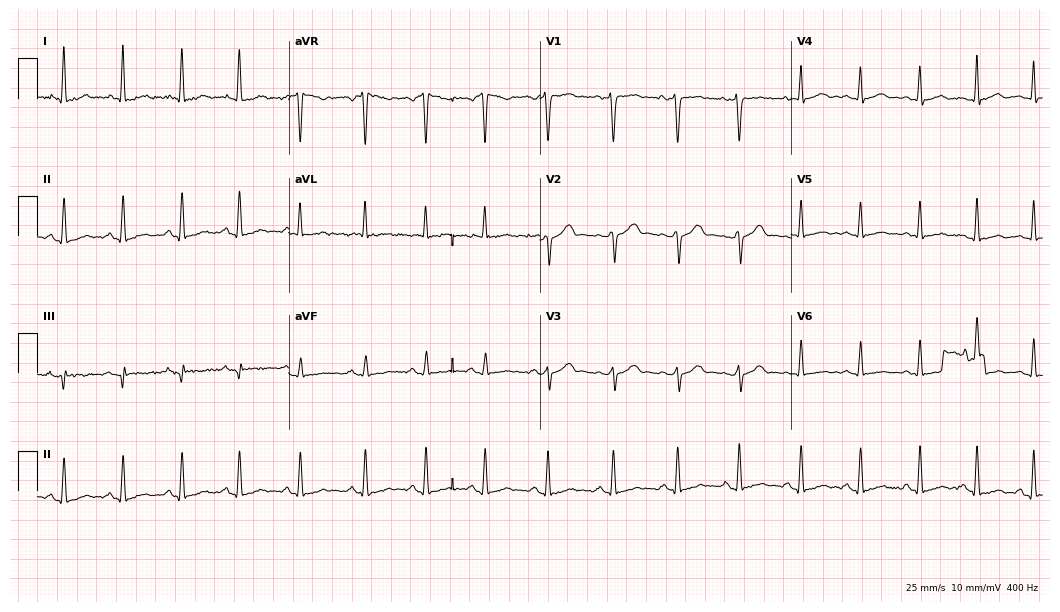
Electrocardiogram (10.2-second recording at 400 Hz), a 25-year-old woman. Of the six screened findings (first-degree AV block, right bundle branch block, left bundle branch block, sinus bradycardia, atrial fibrillation, sinus tachycardia), none is recorded.